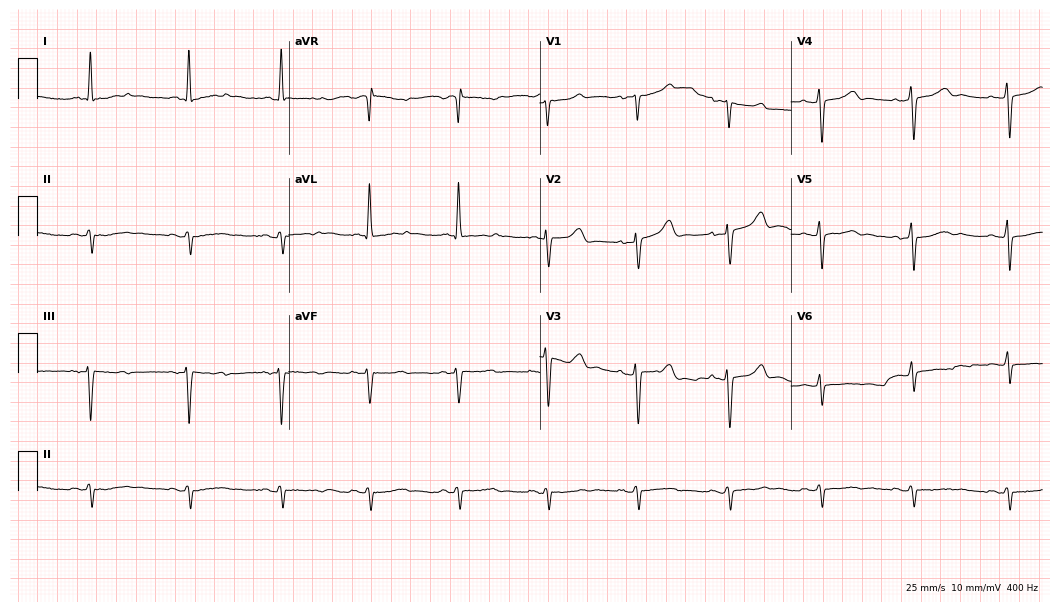
12-lead ECG (10.2-second recording at 400 Hz) from a 44-year-old female. Screened for six findings — first-degree AV block, right bundle branch block (RBBB), left bundle branch block (LBBB), sinus bradycardia, atrial fibrillation (AF), sinus tachycardia — none is recorded. Findings outside these six are not listed.